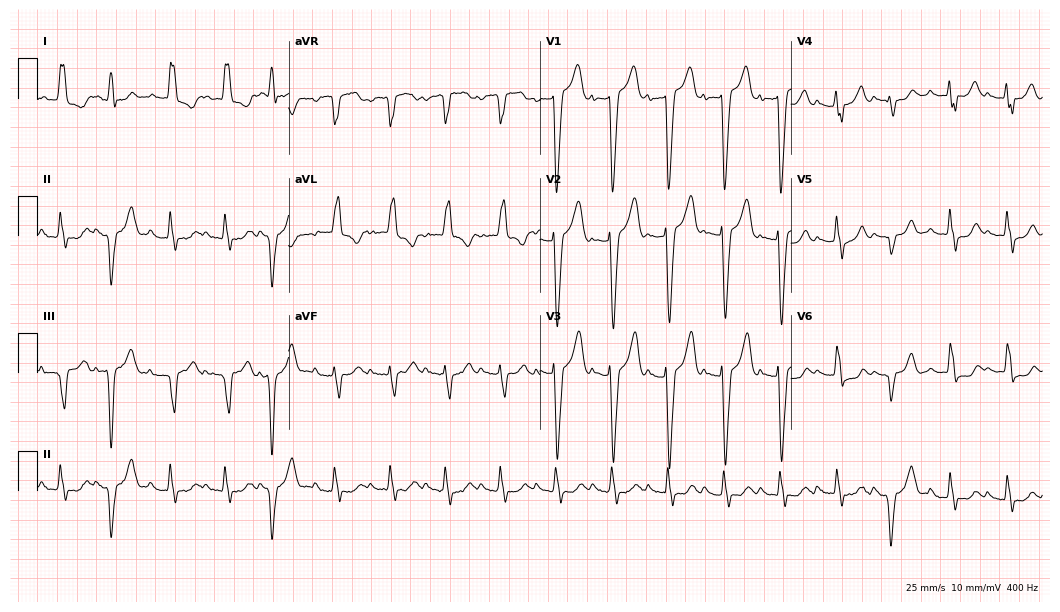
Resting 12-lead electrocardiogram (10.2-second recording at 400 Hz). Patient: an 82-year-old female. The tracing shows left bundle branch block (LBBB), sinus tachycardia (a sinus rate of 100 beats per minute or more).